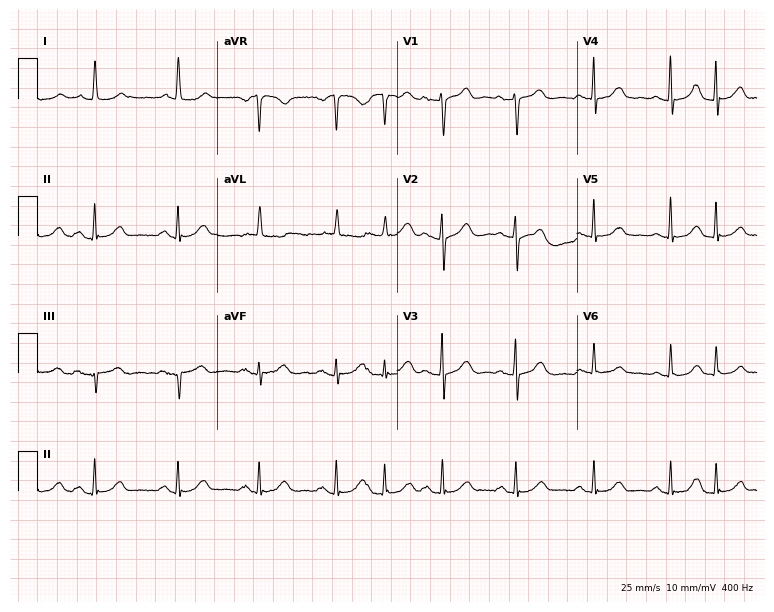
12-lead ECG from a woman, 81 years old. Screened for six findings — first-degree AV block, right bundle branch block, left bundle branch block, sinus bradycardia, atrial fibrillation, sinus tachycardia — none is recorded. Findings outside these six are not listed.